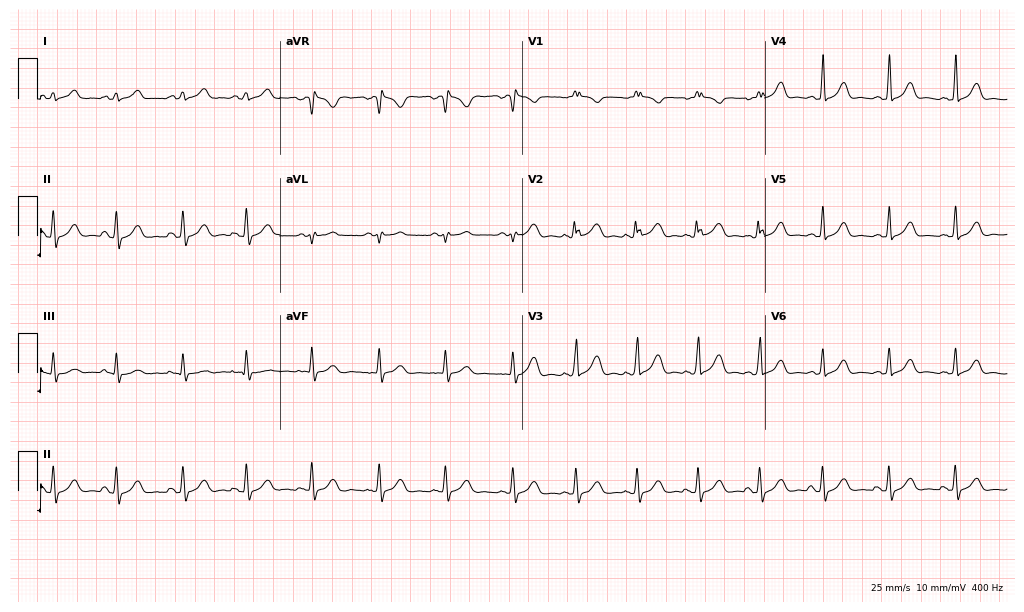
12-lead ECG from a 26-year-old female (9.9-second recording at 400 Hz). Recorded interpretation: within normal limits.